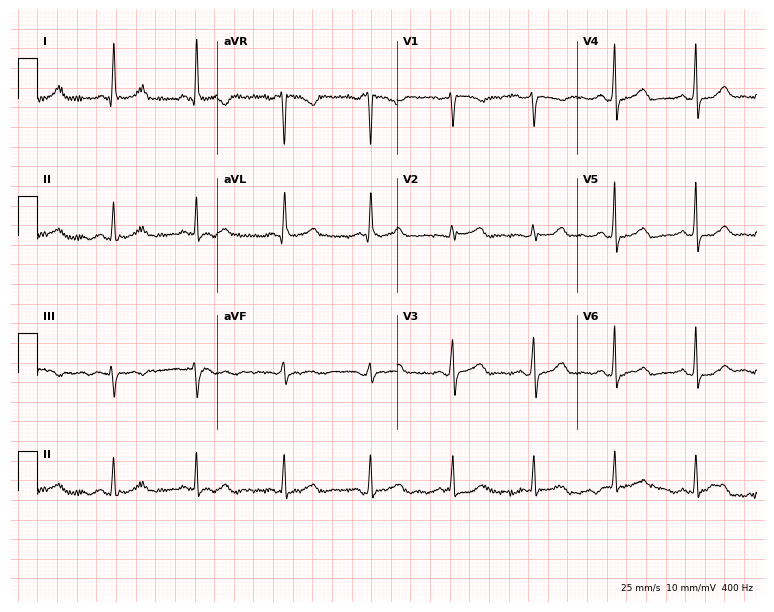
ECG (7.3-second recording at 400 Hz) — a female, 44 years old. Screened for six findings — first-degree AV block, right bundle branch block (RBBB), left bundle branch block (LBBB), sinus bradycardia, atrial fibrillation (AF), sinus tachycardia — none is recorded. Other findings, if any, are not listed.